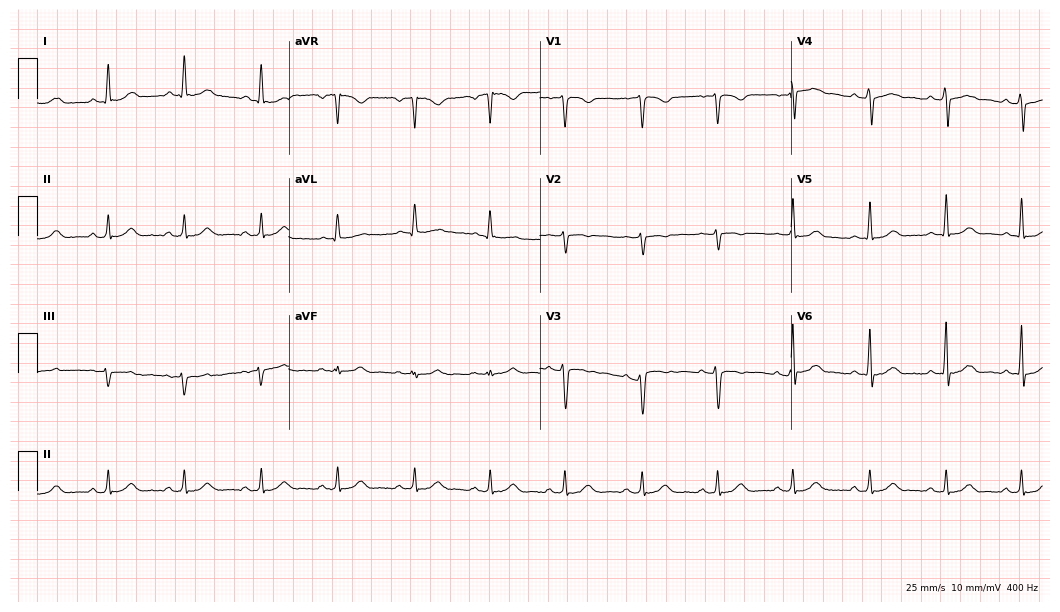
Resting 12-lead electrocardiogram (10.2-second recording at 400 Hz). Patient: a female, 37 years old. None of these six findings is recorded: first-degree AV block, right bundle branch block, left bundle branch block, sinus bradycardia, atrial fibrillation, sinus tachycardia.